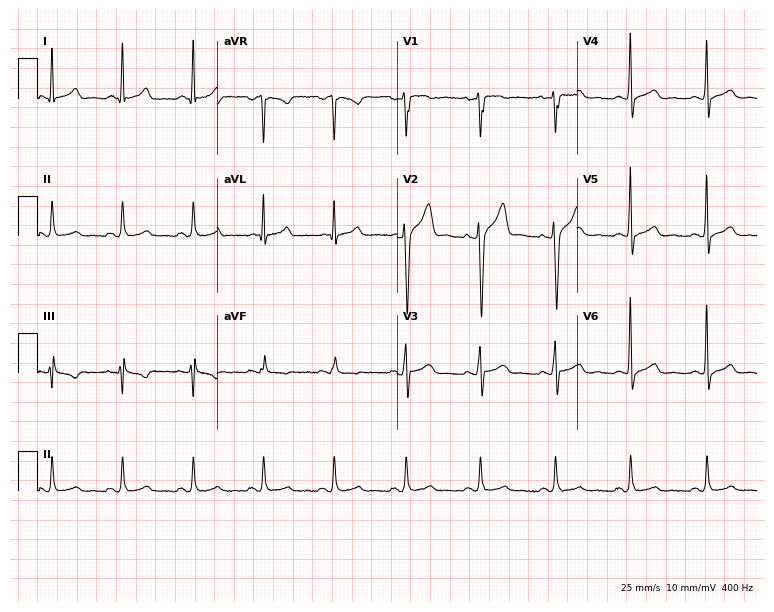
Standard 12-lead ECG recorded from a 37-year-old male. None of these six findings is recorded: first-degree AV block, right bundle branch block, left bundle branch block, sinus bradycardia, atrial fibrillation, sinus tachycardia.